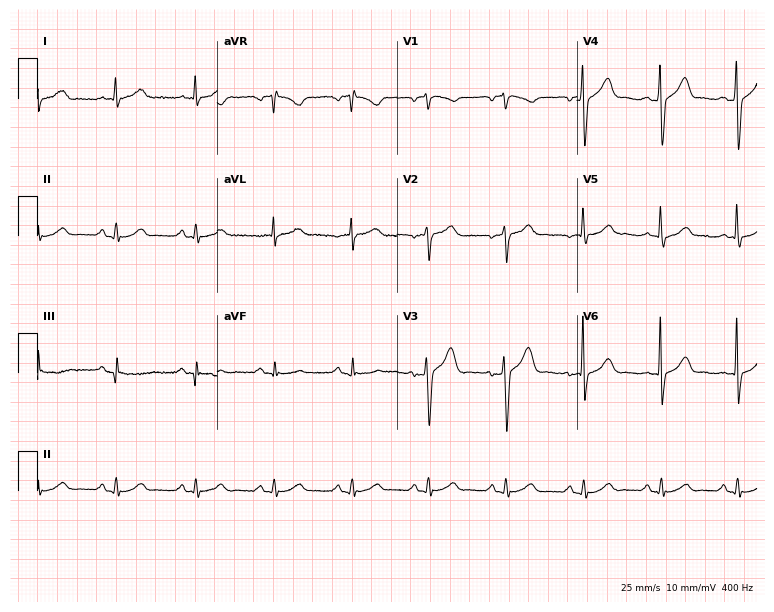
Standard 12-lead ECG recorded from a 58-year-old male. Read as a normal ECG.